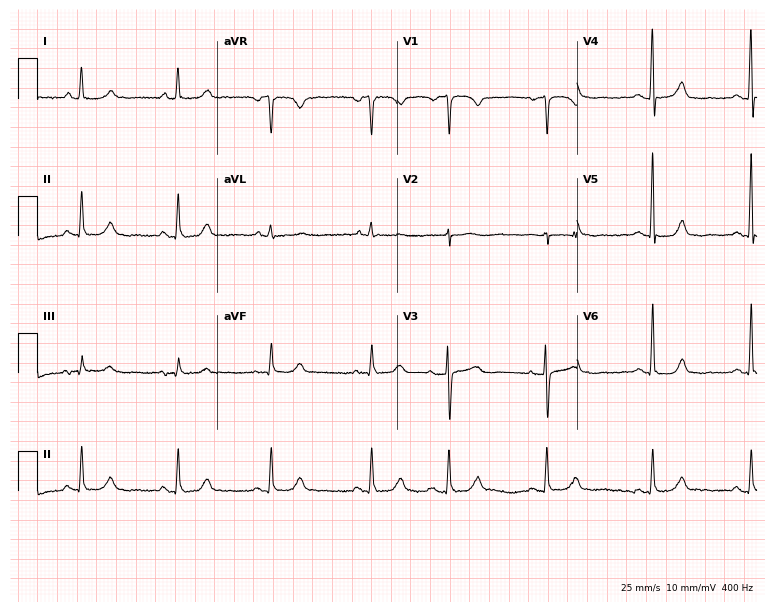
Resting 12-lead electrocardiogram. Patient: a female, 67 years old. None of these six findings is recorded: first-degree AV block, right bundle branch block, left bundle branch block, sinus bradycardia, atrial fibrillation, sinus tachycardia.